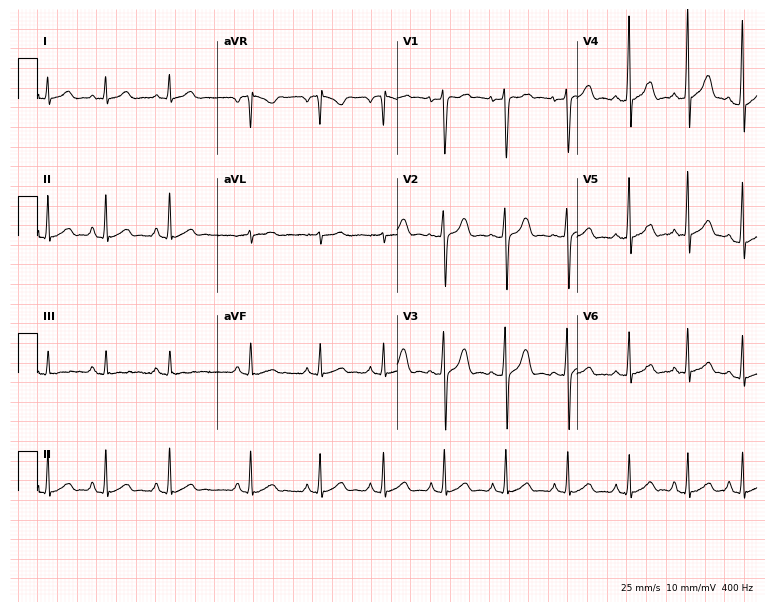
Standard 12-lead ECG recorded from an 18-year-old male. Read as a normal ECG.